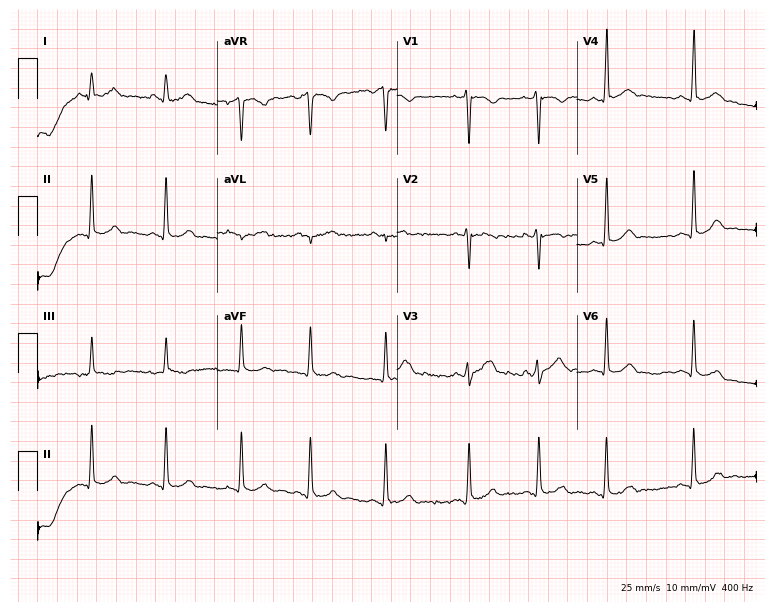
Resting 12-lead electrocardiogram (7.3-second recording at 400 Hz). Patient: a woman, 20 years old. None of these six findings is recorded: first-degree AV block, right bundle branch block, left bundle branch block, sinus bradycardia, atrial fibrillation, sinus tachycardia.